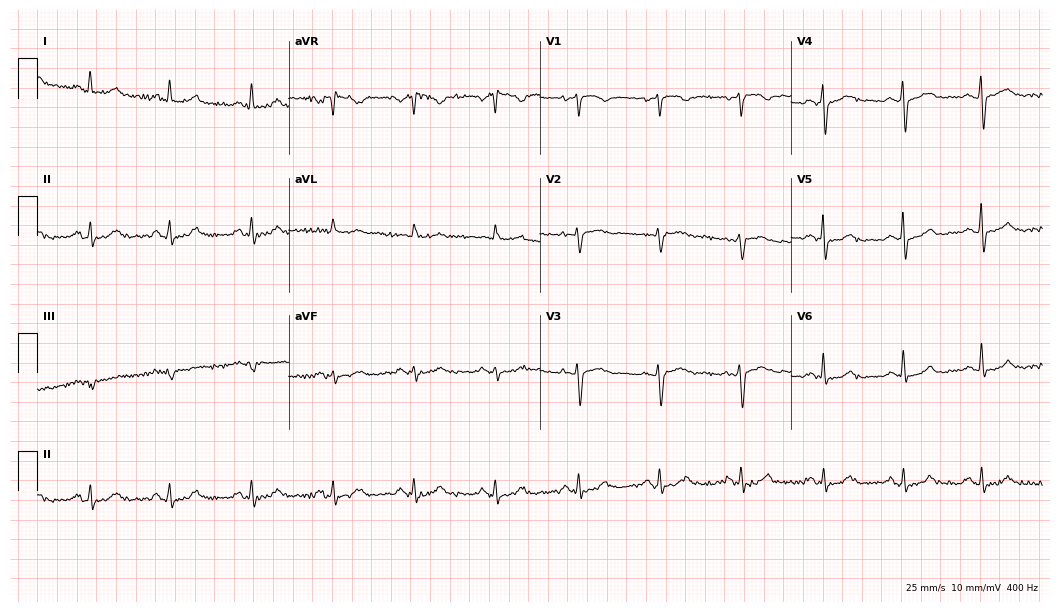
Electrocardiogram, a female patient, 50 years old. Overall reading on record: normal ECG.